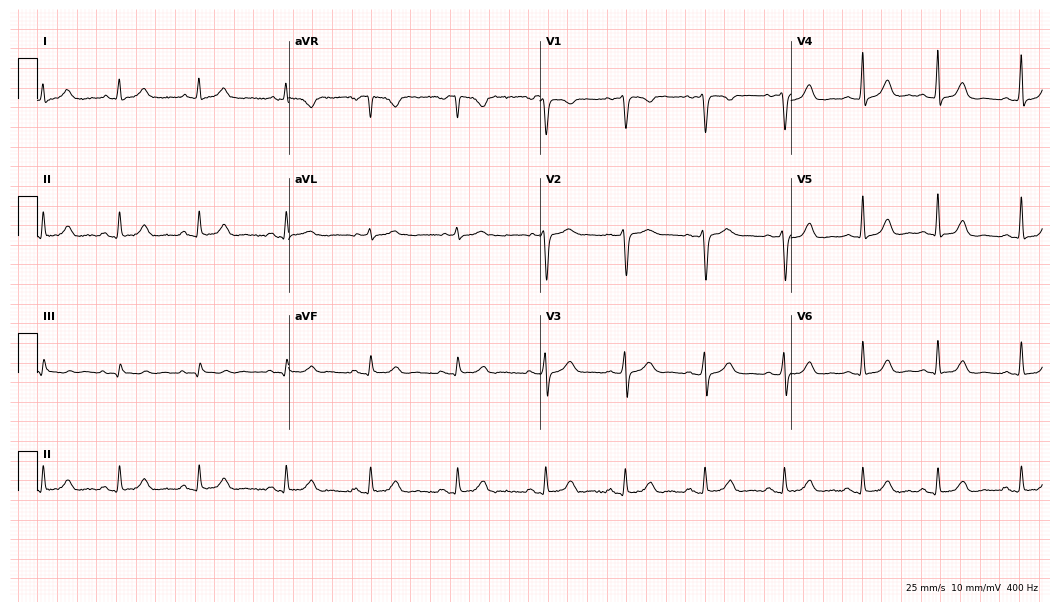
Resting 12-lead electrocardiogram (10.2-second recording at 400 Hz). Patient: a 41-year-old female. None of these six findings is recorded: first-degree AV block, right bundle branch block, left bundle branch block, sinus bradycardia, atrial fibrillation, sinus tachycardia.